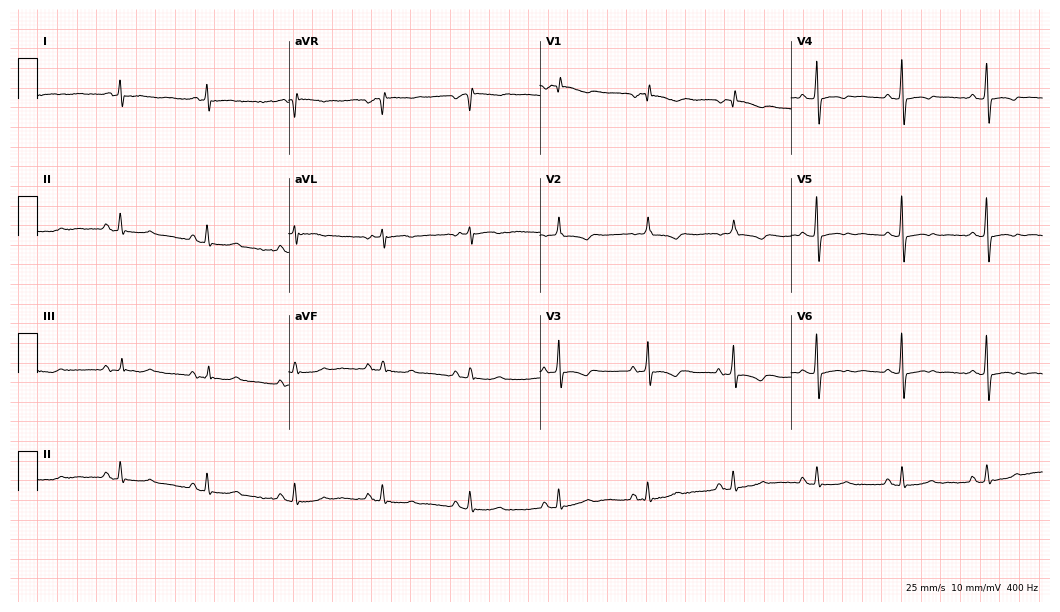
12-lead ECG (10.2-second recording at 400 Hz) from an 81-year-old female. Screened for six findings — first-degree AV block, right bundle branch block, left bundle branch block, sinus bradycardia, atrial fibrillation, sinus tachycardia — none is recorded. Findings outside these six are not listed.